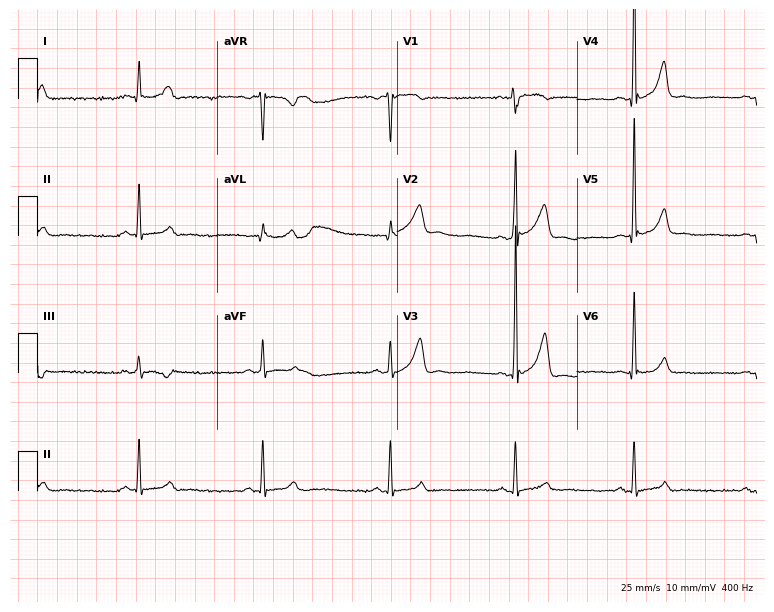
12-lead ECG (7.3-second recording at 400 Hz) from a male patient, 28 years old. Findings include sinus bradycardia (a sinus rate of 50 beats per minute or less).